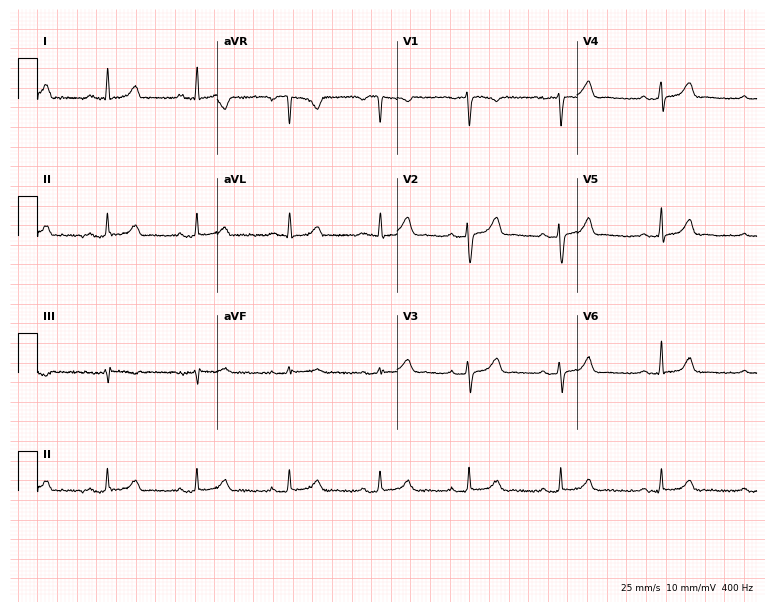
12-lead ECG from a male patient, 32 years old. Recorded interpretation: within normal limits.